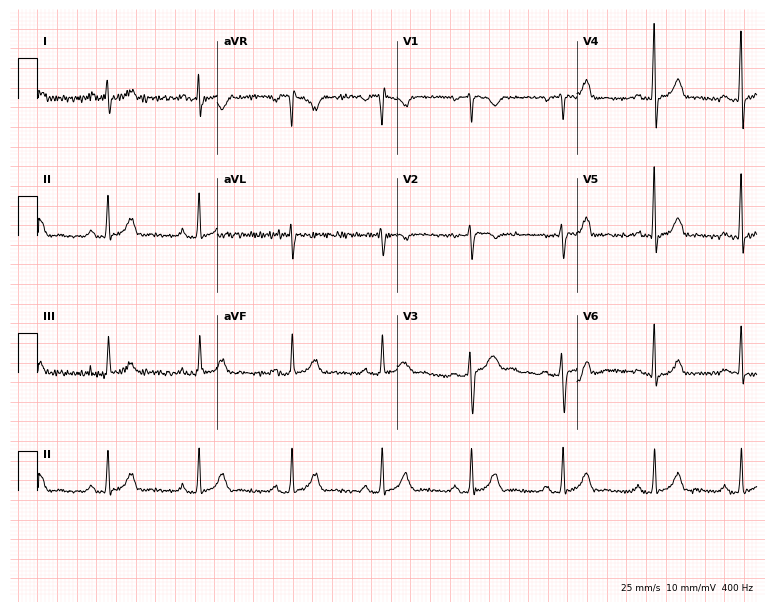
12-lead ECG from a 37-year-old female. Recorded interpretation: within normal limits.